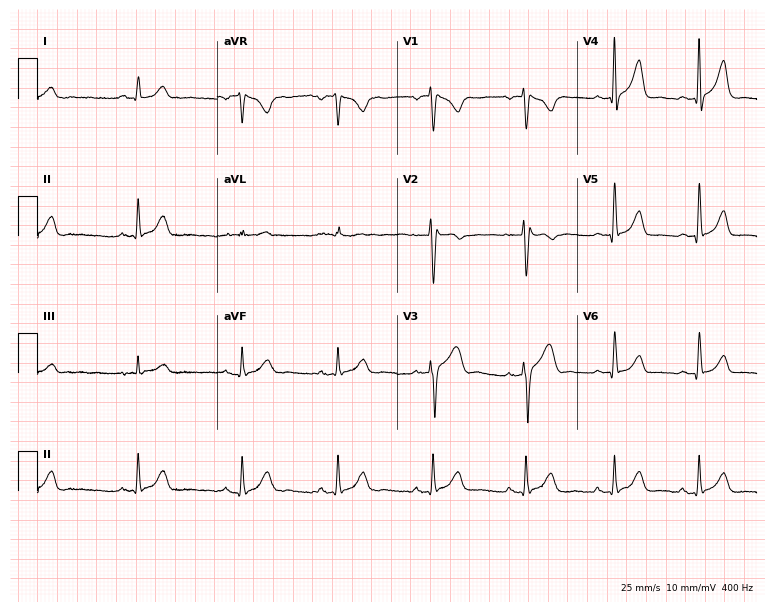
Electrocardiogram, a male, 22 years old. Of the six screened findings (first-degree AV block, right bundle branch block (RBBB), left bundle branch block (LBBB), sinus bradycardia, atrial fibrillation (AF), sinus tachycardia), none is recorded.